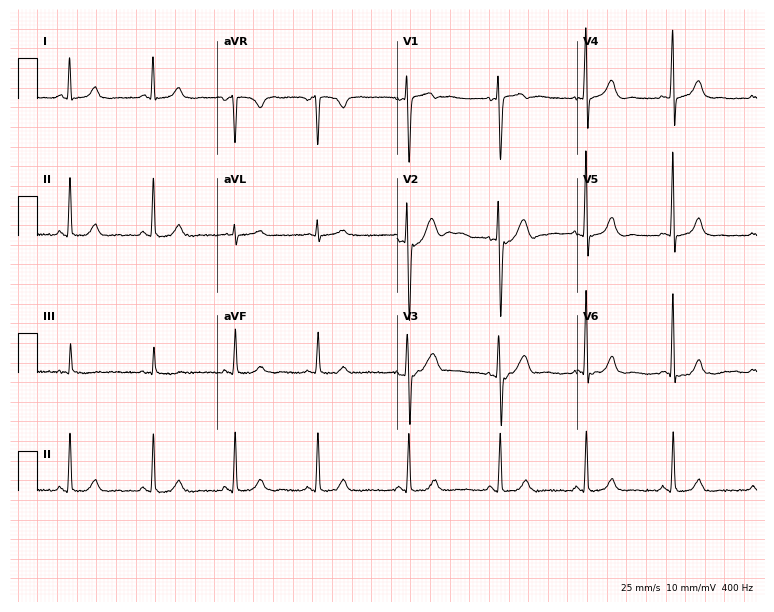
12-lead ECG from a 38-year-old female patient. Labelled as a normal ECG.